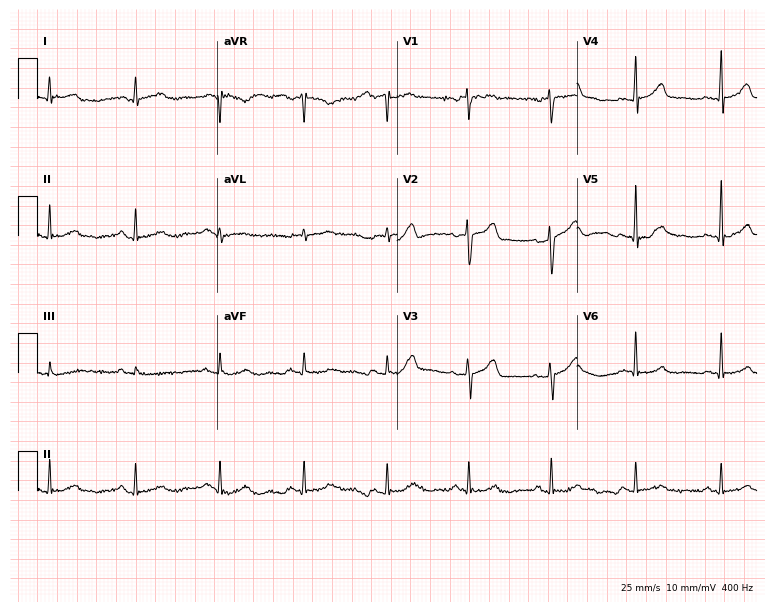
Standard 12-lead ECG recorded from a male, 60 years old (7.3-second recording at 400 Hz). None of these six findings is recorded: first-degree AV block, right bundle branch block, left bundle branch block, sinus bradycardia, atrial fibrillation, sinus tachycardia. Other findings, if any, are not listed.